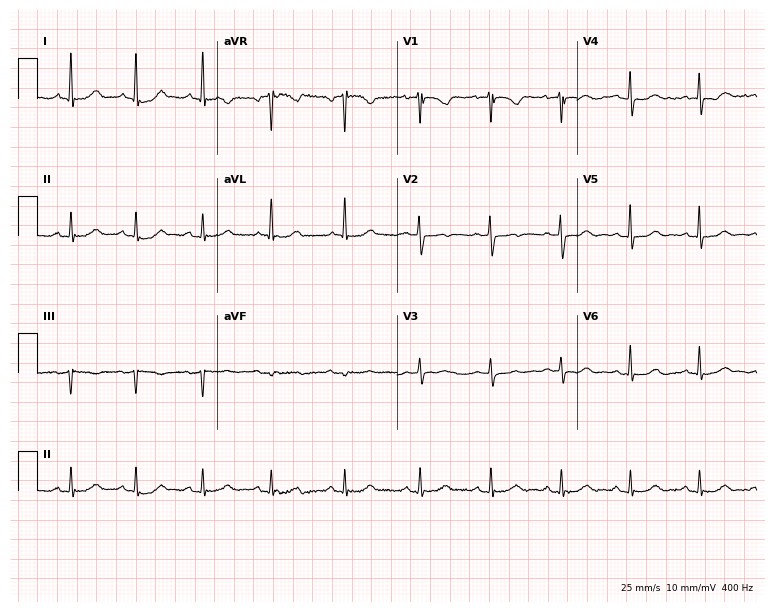
Electrocardiogram, a 58-year-old female. Overall reading on record: normal ECG.